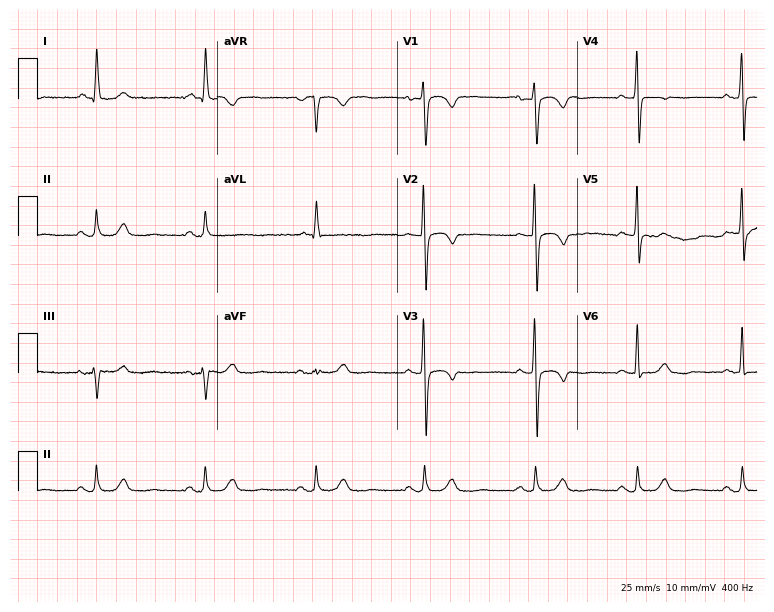
ECG (7.3-second recording at 400 Hz) — a 76-year-old female. Screened for six findings — first-degree AV block, right bundle branch block (RBBB), left bundle branch block (LBBB), sinus bradycardia, atrial fibrillation (AF), sinus tachycardia — none is recorded. Other findings, if any, are not listed.